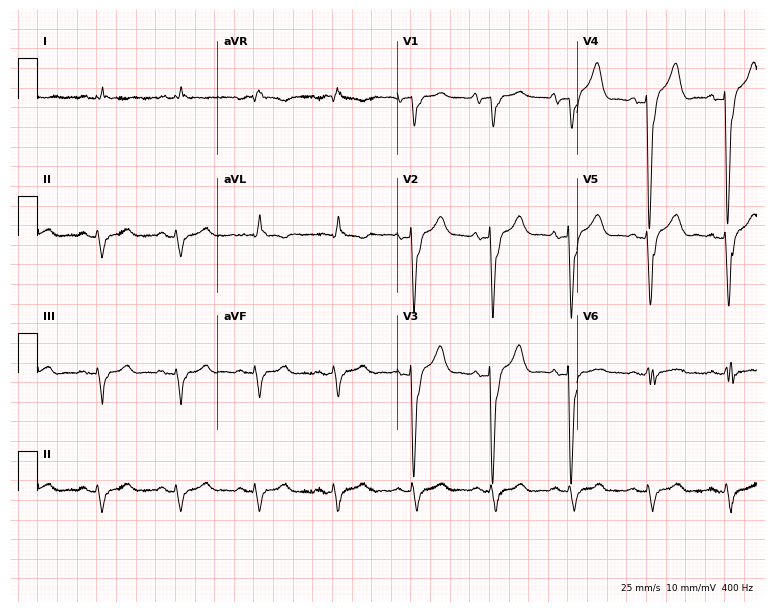
Electrocardiogram (7.3-second recording at 400 Hz), a male, 60 years old. Interpretation includes left bundle branch block.